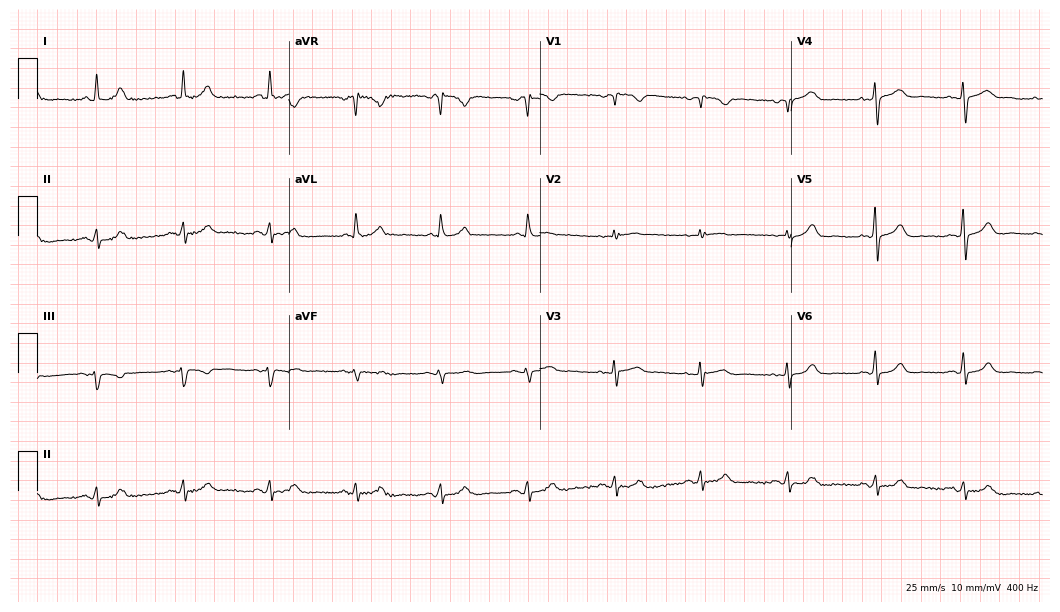
Electrocardiogram, a female patient, 80 years old. Of the six screened findings (first-degree AV block, right bundle branch block, left bundle branch block, sinus bradycardia, atrial fibrillation, sinus tachycardia), none is recorded. Findings outside these six are not listed.